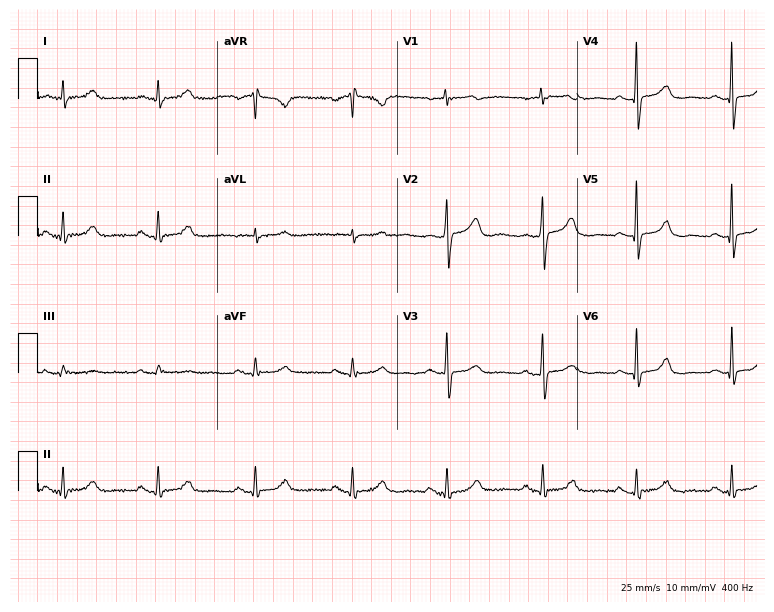
Resting 12-lead electrocardiogram (7.3-second recording at 400 Hz). Patient: a woman, 70 years old. None of these six findings is recorded: first-degree AV block, right bundle branch block, left bundle branch block, sinus bradycardia, atrial fibrillation, sinus tachycardia.